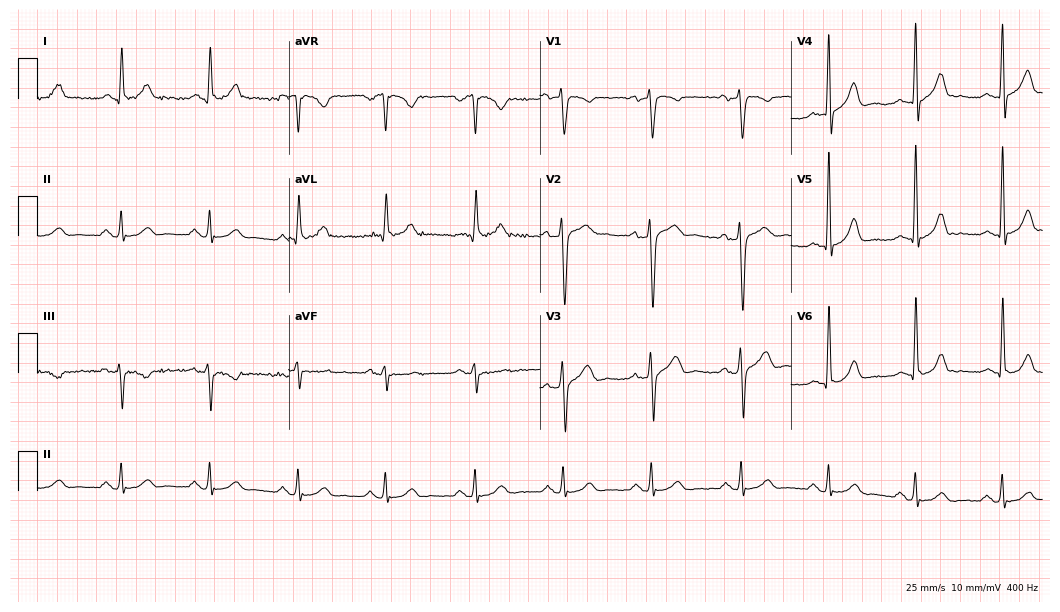
12-lead ECG (10.2-second recording at 400 Hz) from a male patient, 58 years old. Labelled as a normal ECG.